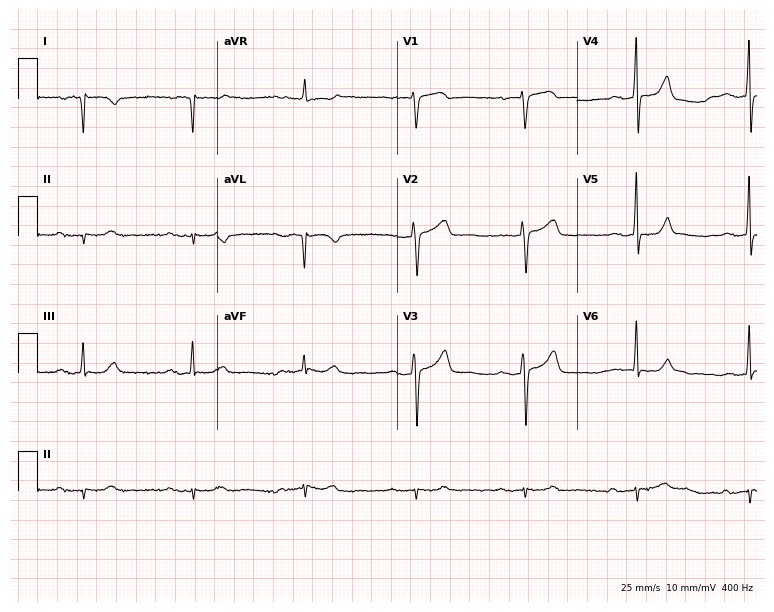
Resting 12-lead electrocardiogram (7.3-second recording at 400 Hz). Patient: an 82-year-old woman. None of these six findings is recorded: first-degree AV block, right bundle branch block, left bundle branch block, sinus bradycardia, atrial fibrillation, sinus tachycardia.